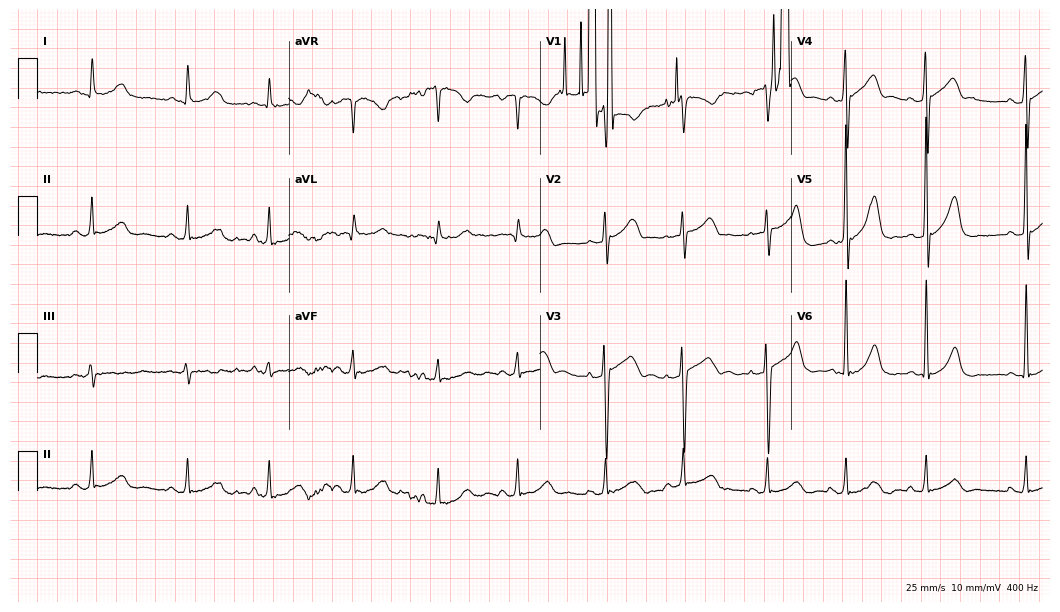
ECG — a 35-year-old male. Screened for six findings — first-degree AV block, right bundle branch block (RBBB), left bundle branch block (LBBB), sinus bradycardia, atrial fibrillation (AF), sinus tachycardia — none is recorded. Findings outside these six are not listed.